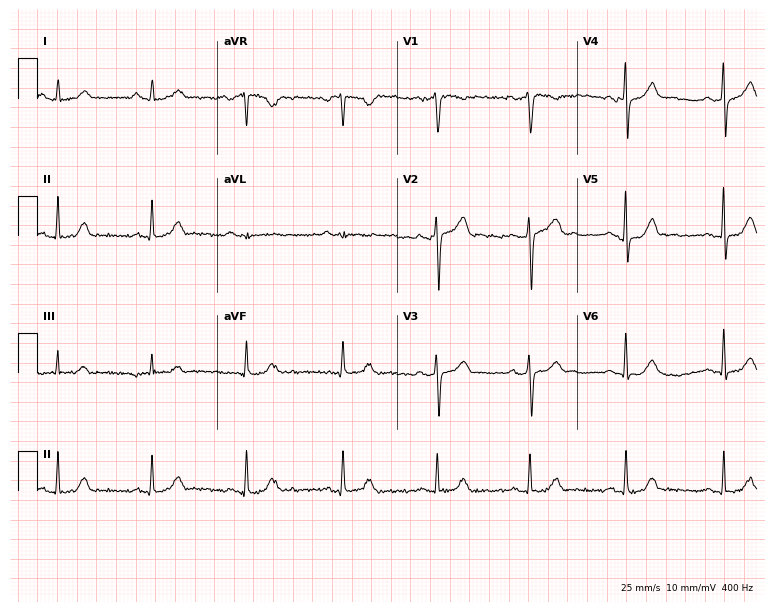
Standard 12-lead ECG recorded from a male patient, 61 years old (7.3-second recording at 400 Hz). Read as a normal ECG.